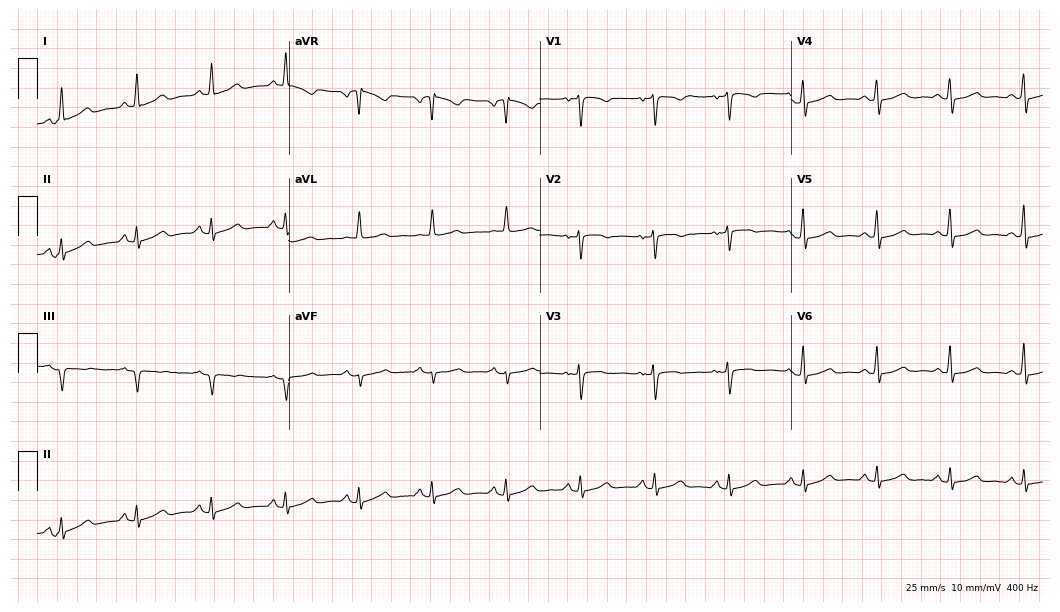
12-lead ECG (10.2-second recording at 400 Hz) from a female, 54 years old. Screened for six findings — first-degree AV block, right bundle branch block, left bundle branch block, sinus bradycardia, atrial fibrillation, sinus tachycardia — none is recorded. Findings outside these six are not listed.